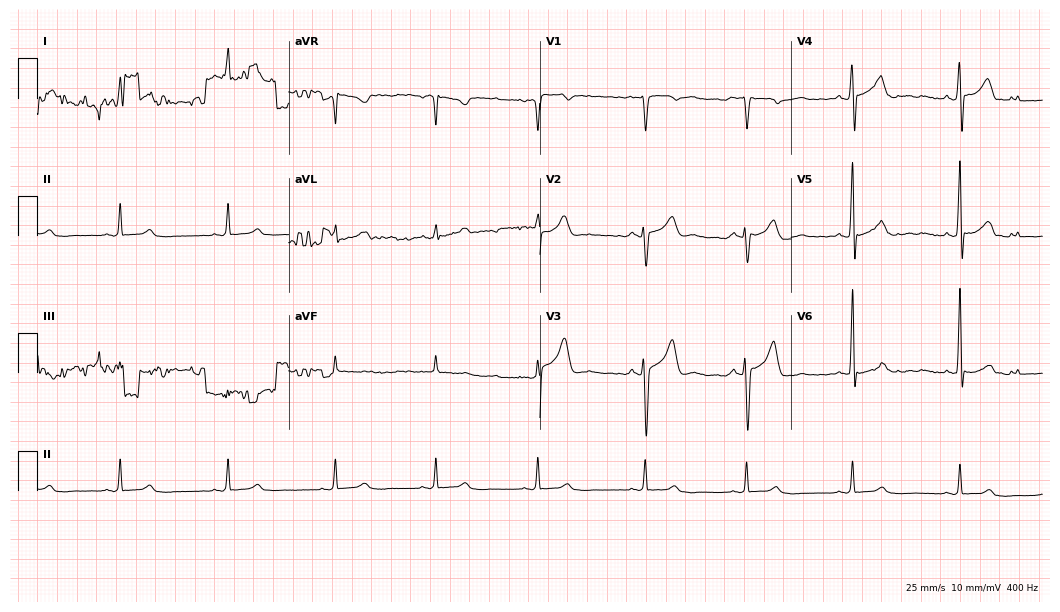
Electrocardiogram (10.2-second recording at 400 Hz), a man, 26 years old. Overall reading on record: normal ECG.